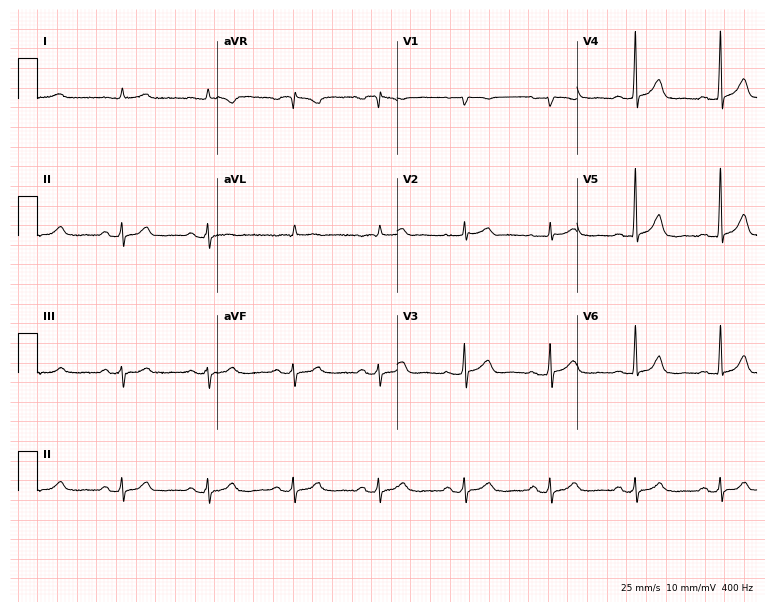
Standard 12-lead ECG recorded from an 83-year-old male (7.3-second recording at 400 Hz). Read as a normal ECG.